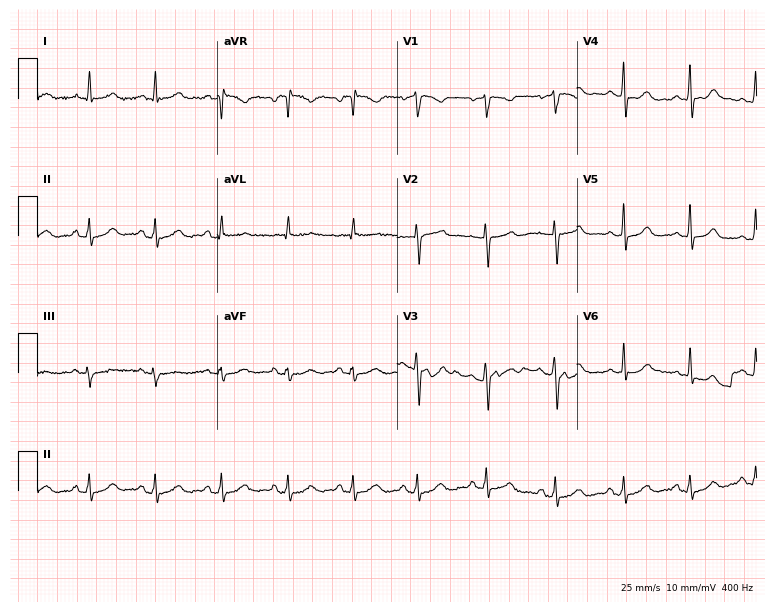
Electrocardiogram, a female, 44 years old. Of the six screened findings (first-degree AV block, right bundle branch block, left bundle branch block, sinus bradycardia, atrial fibrillation, sinus tachycardia), none is recorded.